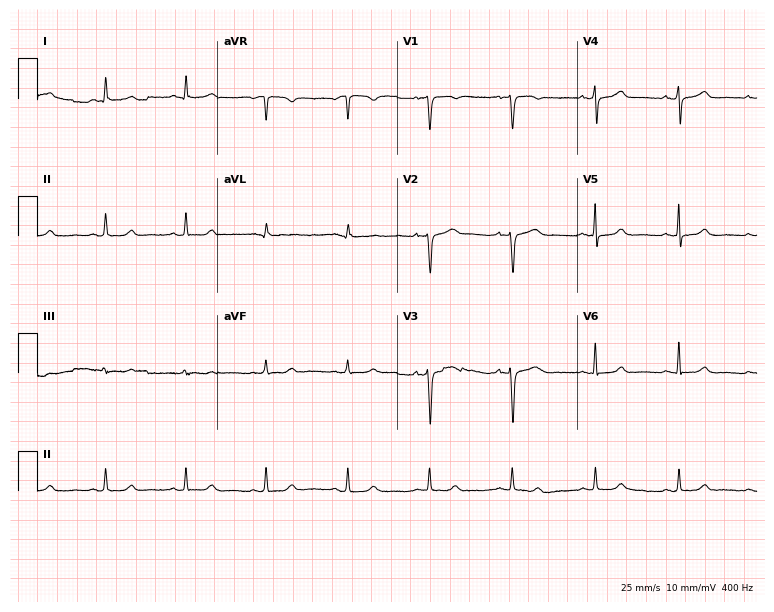
Electrocardiogram, a 64-year-old female patient. Of the six screened findings (first-degree AV block, right bundle branch block (RBBB), left bundle branch block (LBBB), sinus bradycardia, atrial fibrillation (AF), sinus tachycardia), none is recorded. Only these six findings were labelled.